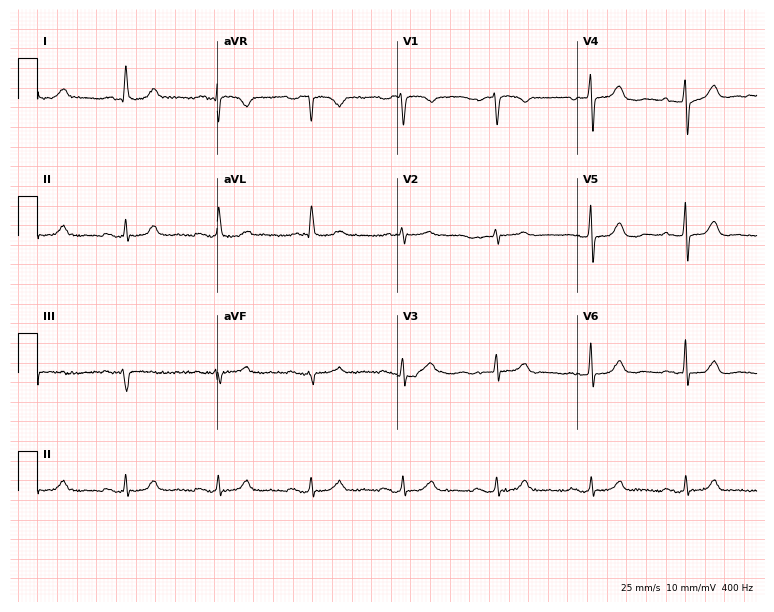
ECG (7.3-second recording at 400 Hz) — a man, 84 years old. Screened for six findings — first-degree AV block, right bundle branch block (RBBB), left bundle branch block (LBBB), sinus bradycardia, atrial fibrillation (AF), sinus tachycardia — none is recorded.